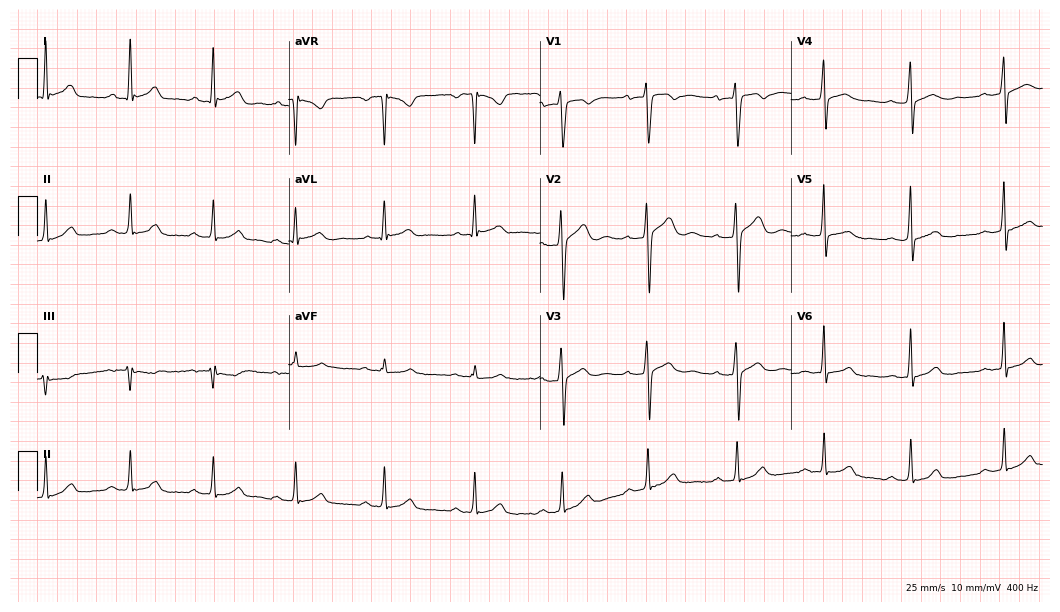
ECG — a 28-year-old male. Labelled as a normal ECG.